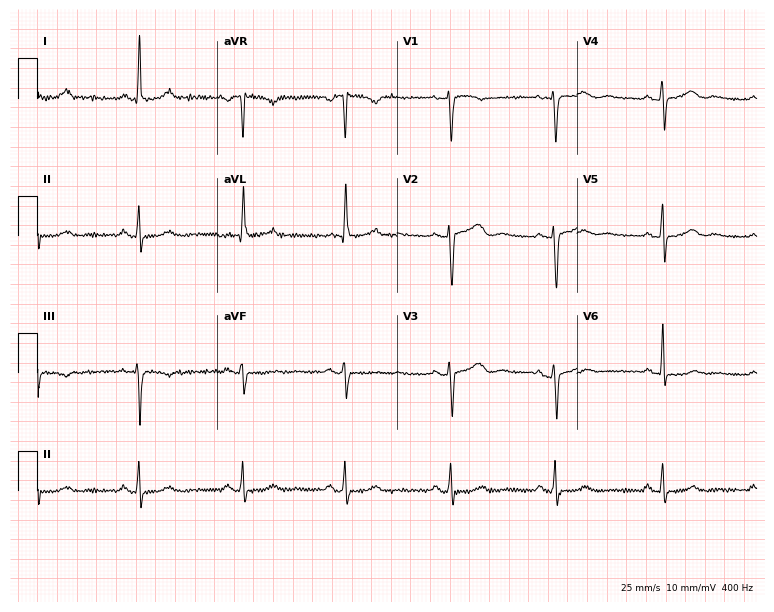
Electrocardiogram, a 41-year-old woman. Of the six screened findings (first-degree AV block, right bundle branch block, left bundle branch block, sinus bradycardia, atrial fibrillation, sinus tachycardia), none is recorded. Other findings, if any, are not listed.